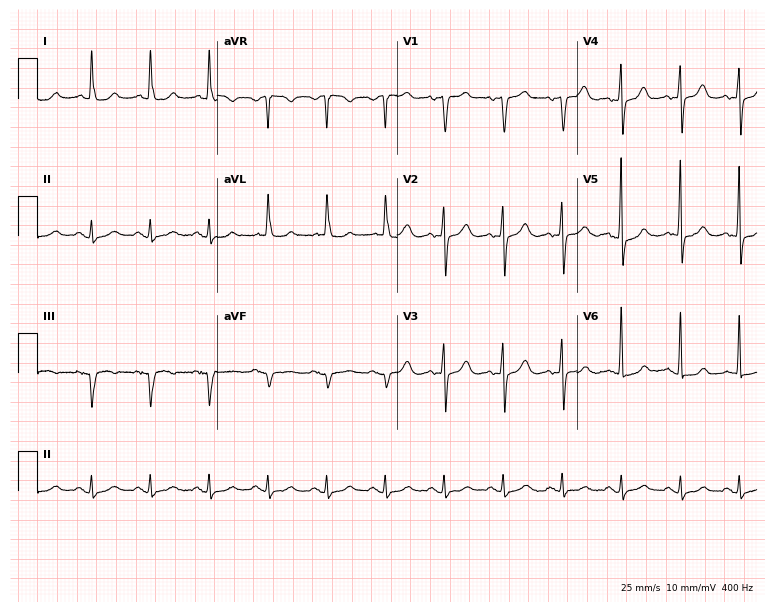
12-lead ECG from a female patient, 80 years old (7.3-second recording at 400 Hz). Shows sinus tachycardia (a sinus rate of 100 beats per minute or more).